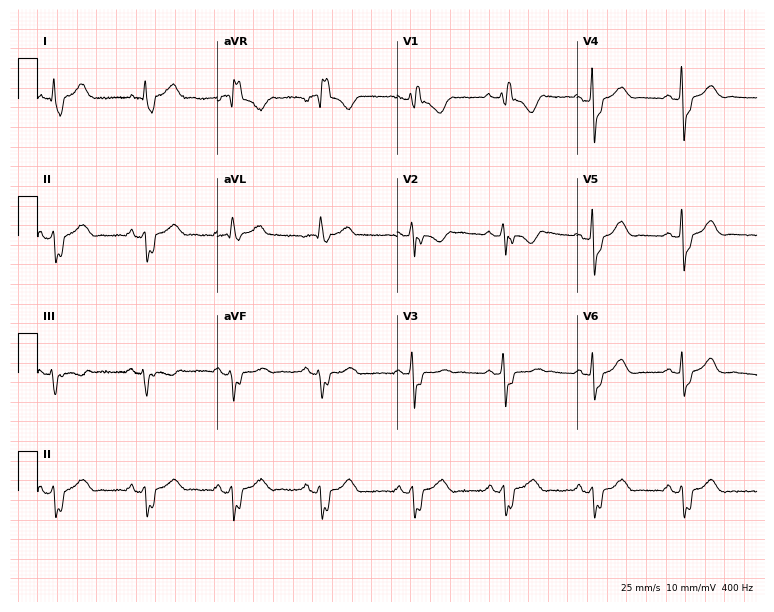
Electrocardiogram (7.3-second recording at 400 Hz), a female, 66 years old. Interpretation includes right bundle branch block (RBBB).